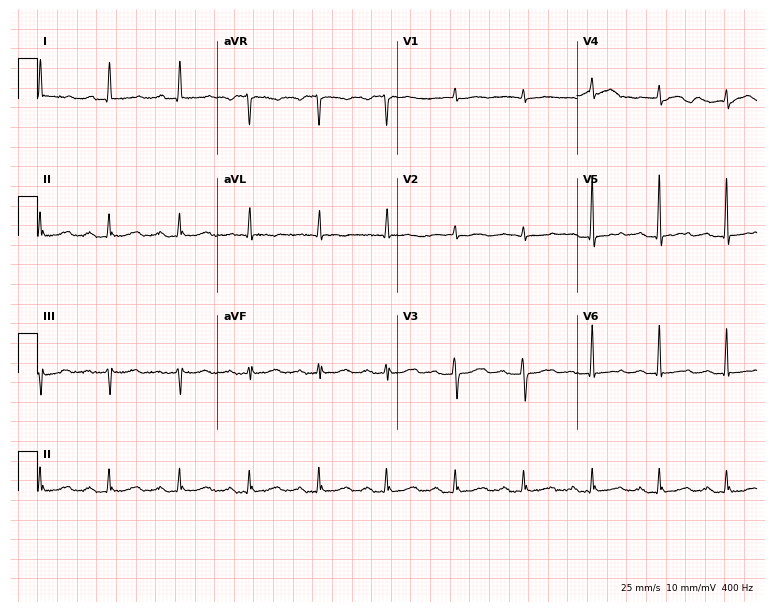
12-lead ECG from a 64-year-old female. Screened for six findings — first-degree AV block, right bundle branch block (RBBB), left bundle branch block (LBBB), sinus bradycardia, atrial fibrillation (AF), sinus tachycardia — none is recorded.